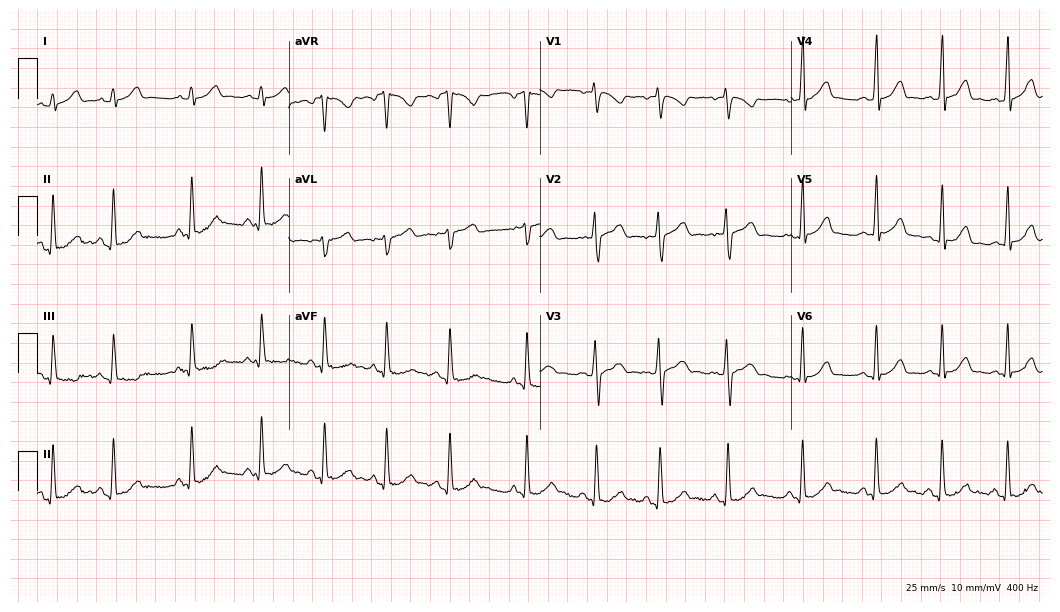
12-lead ECG from a woman, 19 years old (10.2-second recording at 400 Hz). Recorded interpretation: within normal limits.